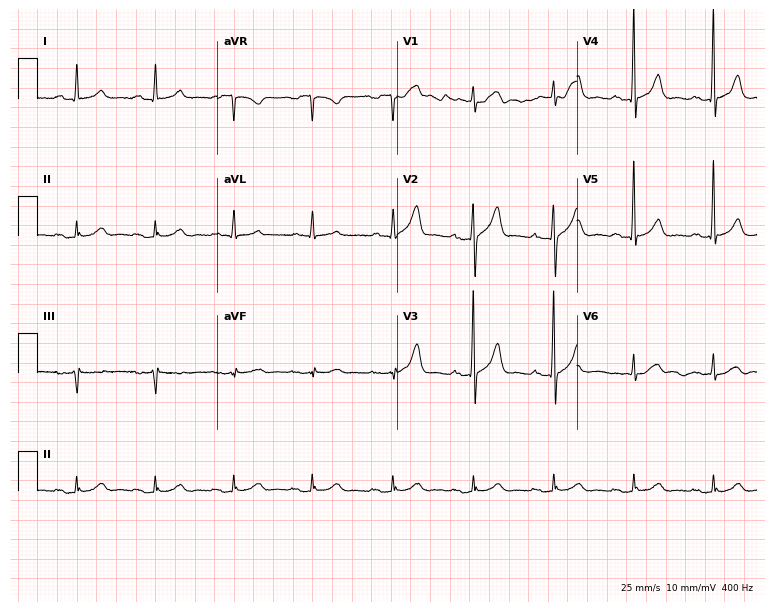
12-lead ECG from a male patient, 76 years old. Recorded interpretation: within normal limits.